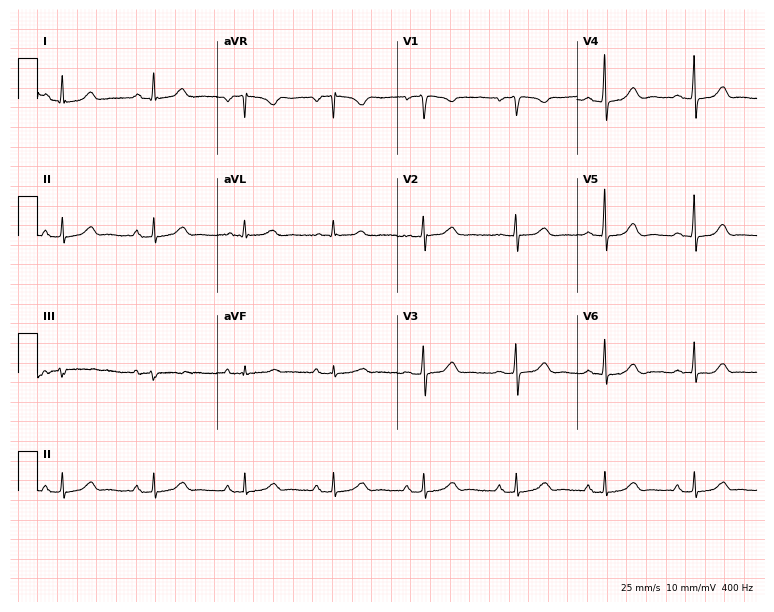
12-lead ECG (7.3-second recording at 400 Hz) from a female patient, 56 years old. Labelled as a normal ECG.